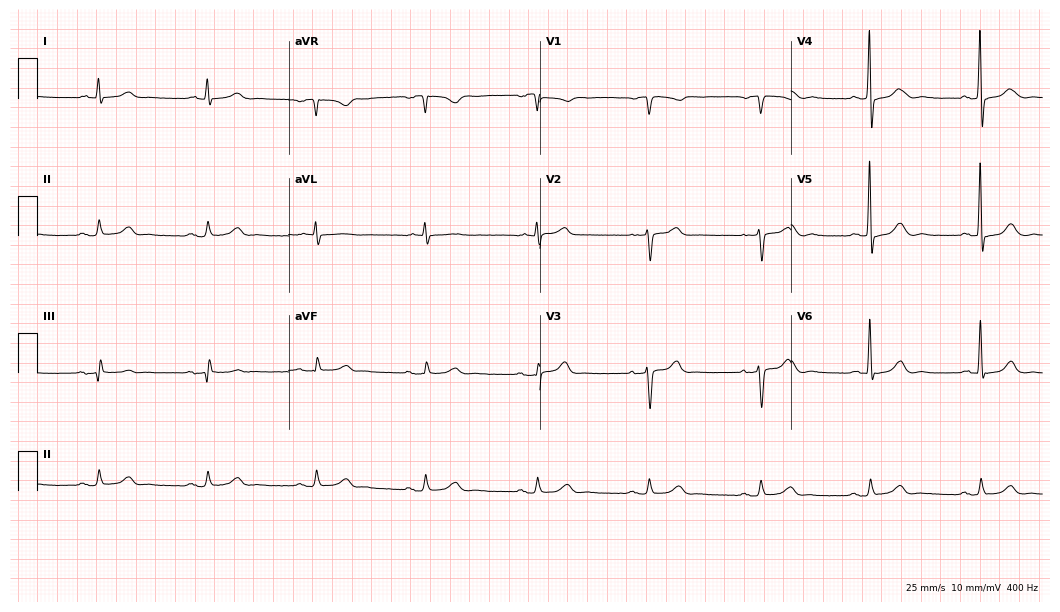
Standard 12-lead ECG recorded from a 64-year-old male (10.2-second recording at 400 Hz). Read as a normal ECG.